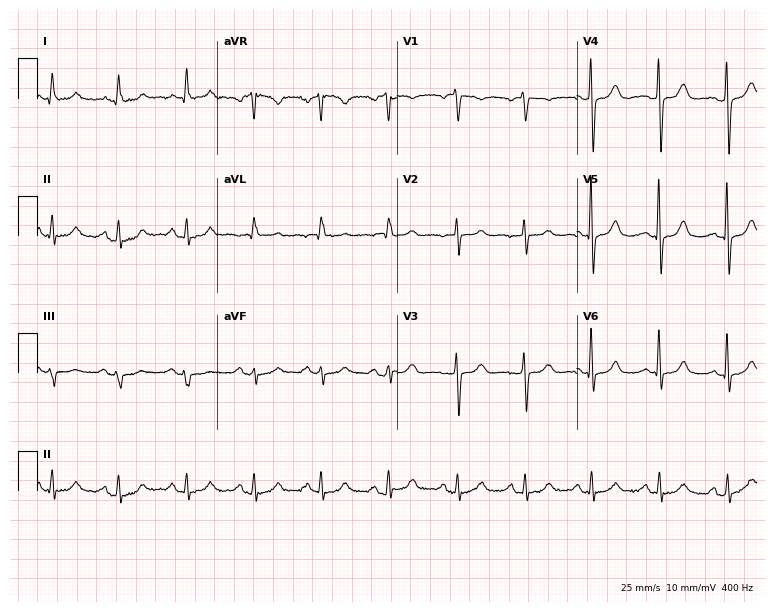
Electrocardiogram (7.3-second recording at 400 Hz), a woman, 72 years old. Overall reading on record: normal ECG.